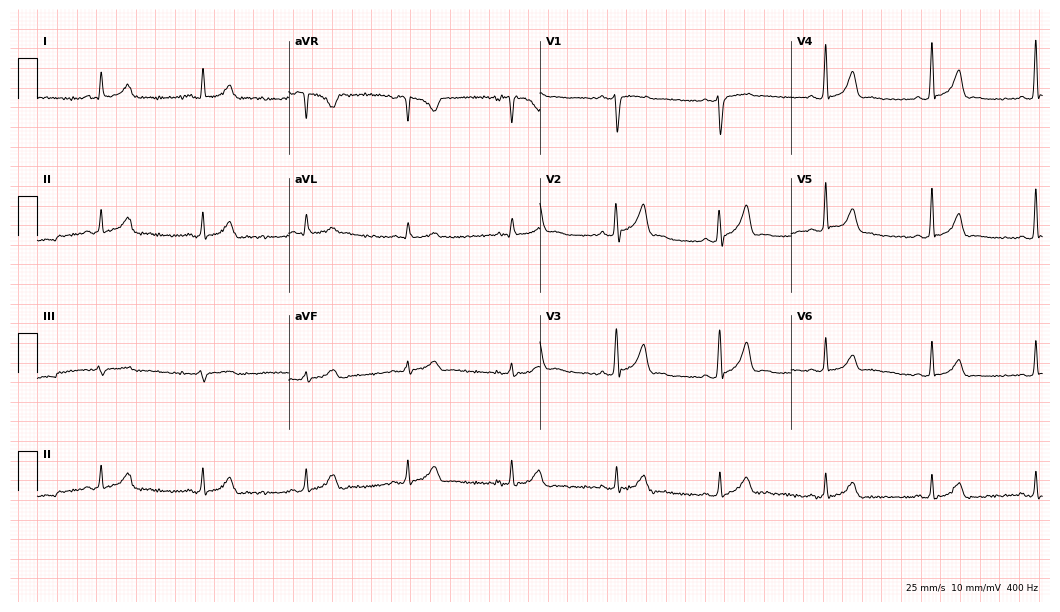
Electrocardiogram (10.2-second recording at 400 Hz), a male, 45 years old. Overall reading on record: normal ECG.